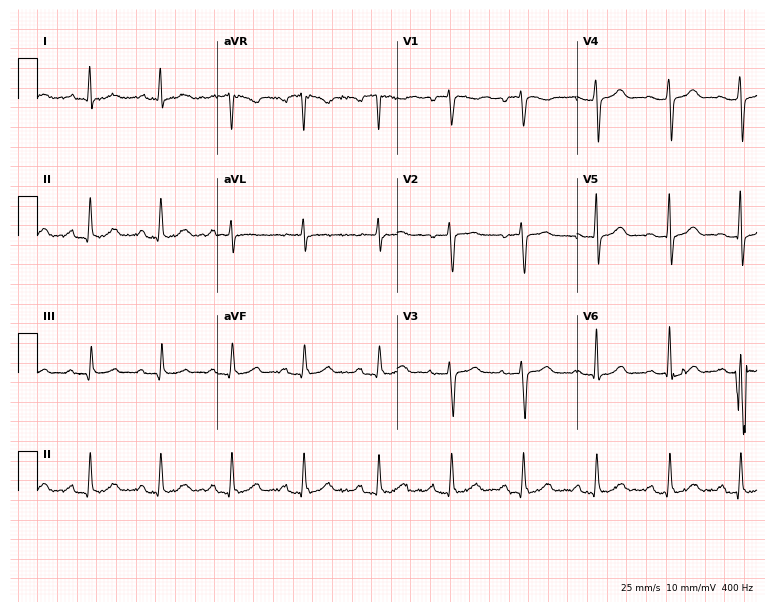
Electrocardiogram (7.3-second recording at 400 Hz), a 52-year-old female. Overall reading on record: normal ECG.